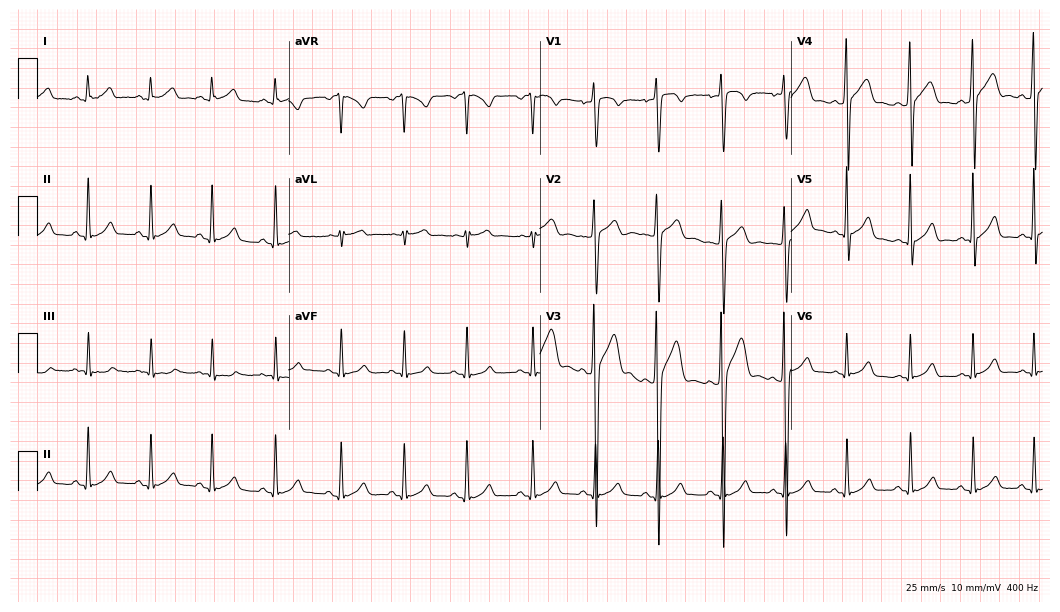
12-lead ECG from a male patient, 17 years old. Labelled as a normal ECG.